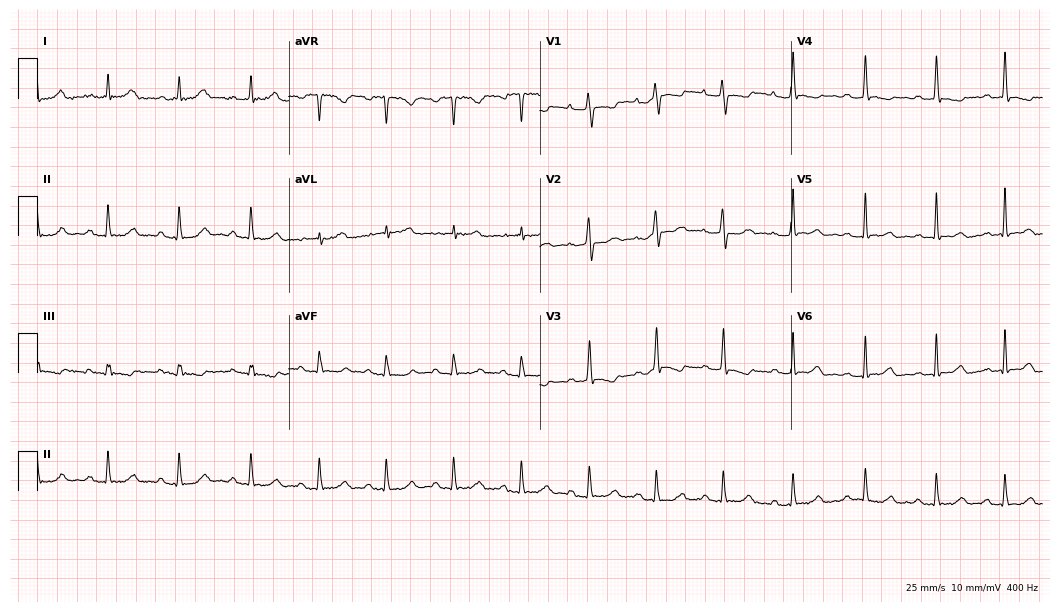
12-lead ECG (10.2-second recording at 400 Hz) from a 25-year-old female patient. Labelled as a normal ECG.